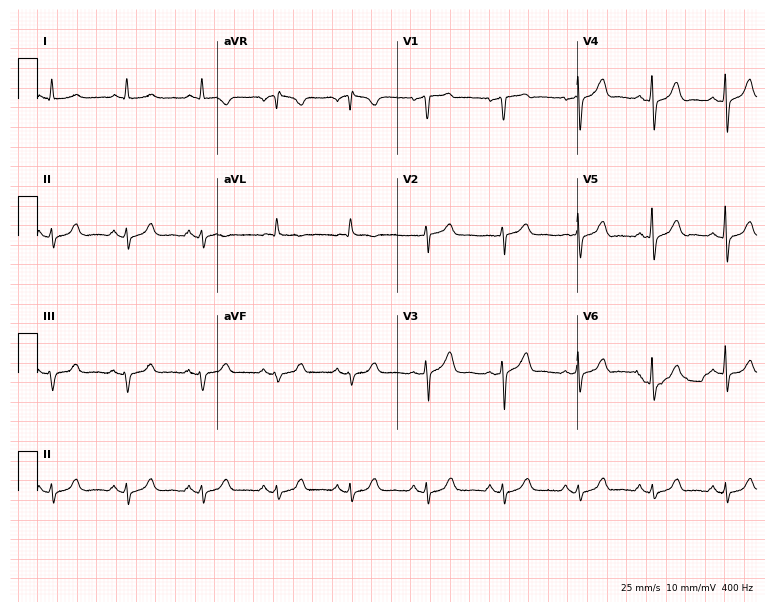
Standard 12-lead ECG recorded from a man, 79 years old (7.3-second recording at 400 Hz). None of these six findings is recorded: first-degree AV block, right bundle branch block, left bundle branch block, sinus bradycardia, atrial fibrillation, sinus tachycardia. Findings outside these six are not listed.